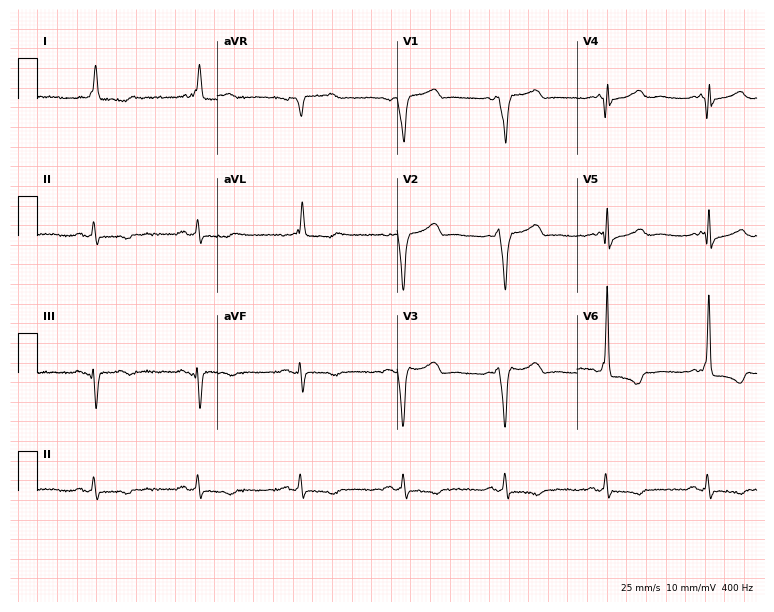
Standard 12-lead ECG recorded from a male, 77 years old. None of these six findings is recorded: first-degree AV block, right bundle branch block, left bundle branch block, sinus bradycardia, atrial fibrillation, sinus tachycardia.